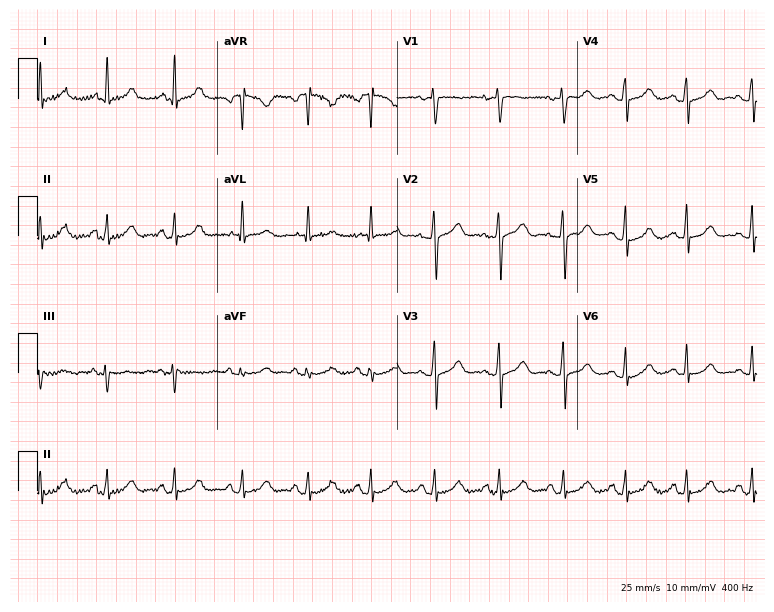
12-lead ECG from a female, 32 years old (7.3-second recording at 400 Hz). No first-degree AV block, right bundle branch block (RBBB), left bundle branch block (LBBB), sinus bradycardia, atrial fibrillation (AF) or sinus tachycardia recorded for this tracing.